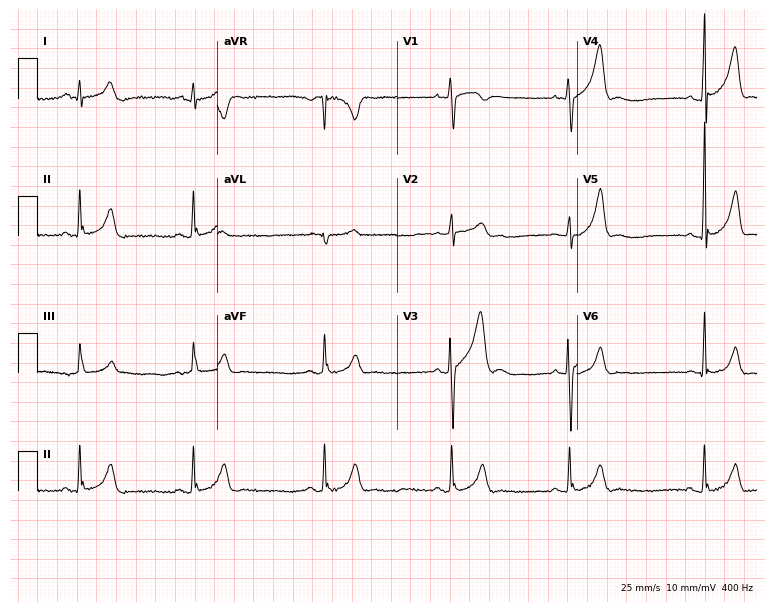
Resting 12-lead electrocardiogram (7.3-second recording at 400 Hz). Patient: a 32-year-old male. The tracing shows sinus bradycardia (a sinus rate of 50 beats per minute or less).